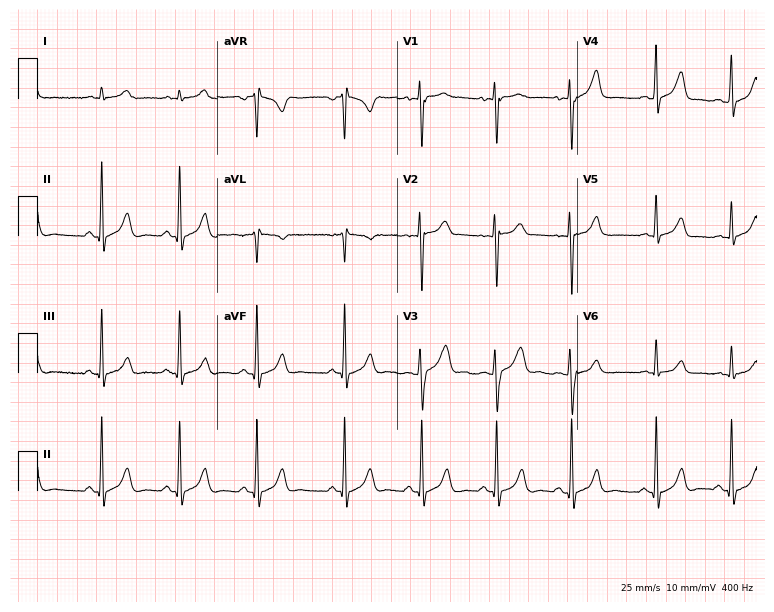
12-lead ECG from a male patient, 19 years old. Screened for six findings — first-degree AV block, right bundle branch block, left bundle branch block, sinus bradycardia, atrial fibrillation, sinus tachycardia — none is recorded. Only these six findings were labelled.